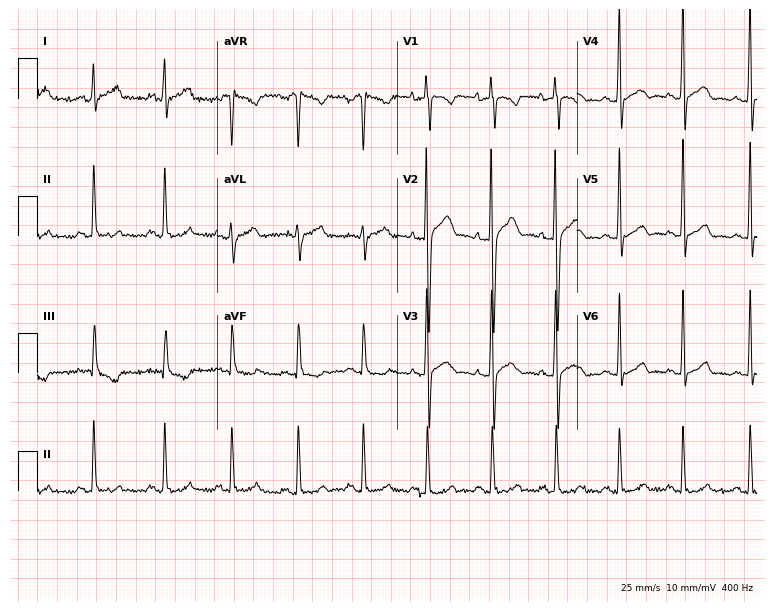
Standard 12-lead ECG recorded from a 31-year-old male patient. Read as a normal ECG.